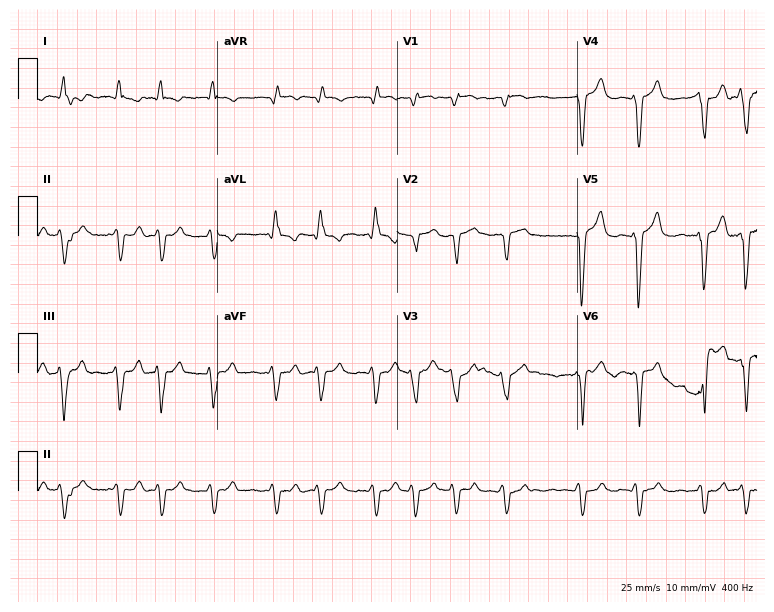
12-lead ECG (7.3-second recording at 400 Hz) from a 70-year-old man. Findings include atrial fibrillation (AF).